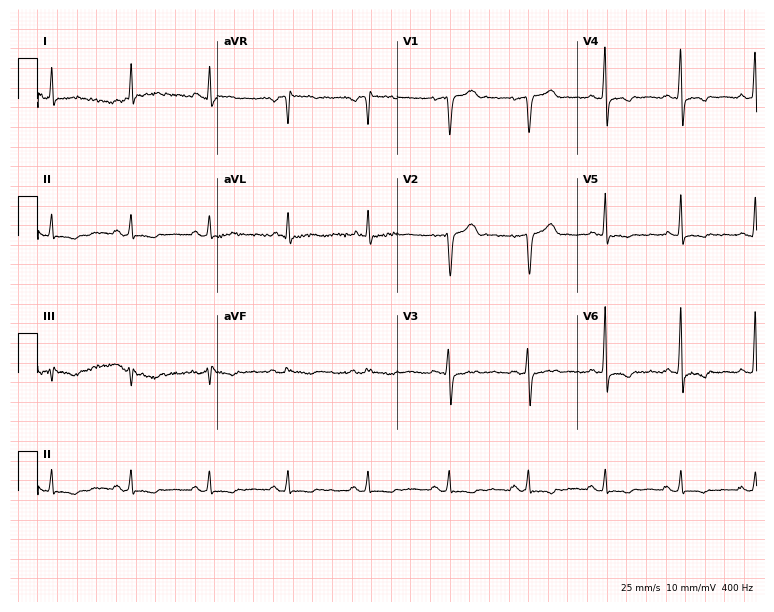
12-lead ECG (7.3-second recording at 400 Hz) from a 55-year-old man. Screened for six findings — first-degree AV block, right bundle branch block, left bundle branch block, sinus bradycardia, atrial fibrillation, sinus tachycardia — none is recorded. Findings outside these six are not listed.